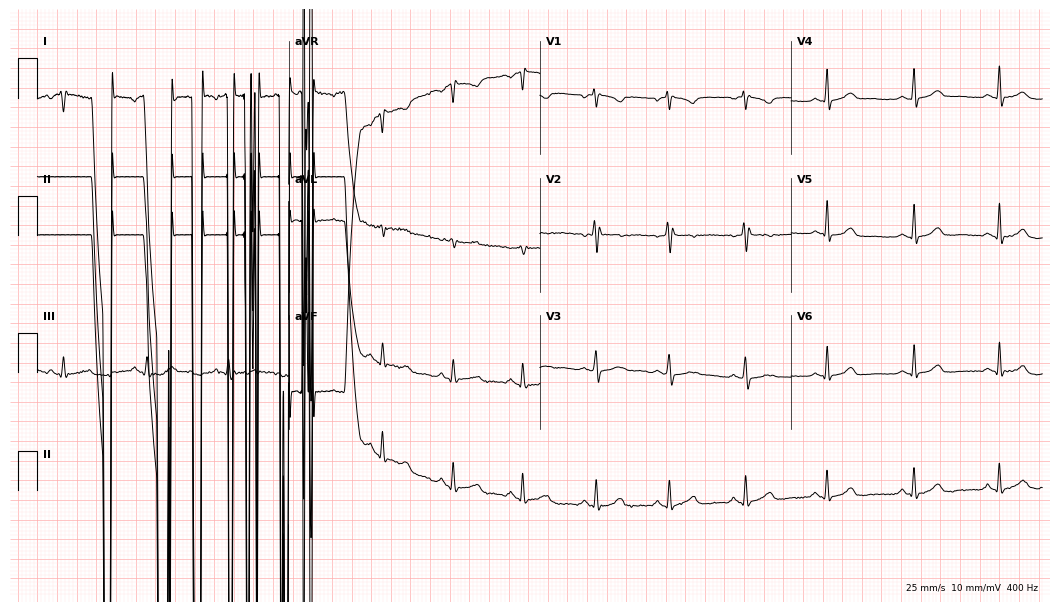
12-lead ECG from a 24-year-old woman (10.2-second recording at 400 Hz). No first-degree AV block, right bundle branch block, left bundle branch block, sinus bradycardia, atrial fibrillation or sinus tachycardia recorded for this tracing. Other findings, if any, are not listed.